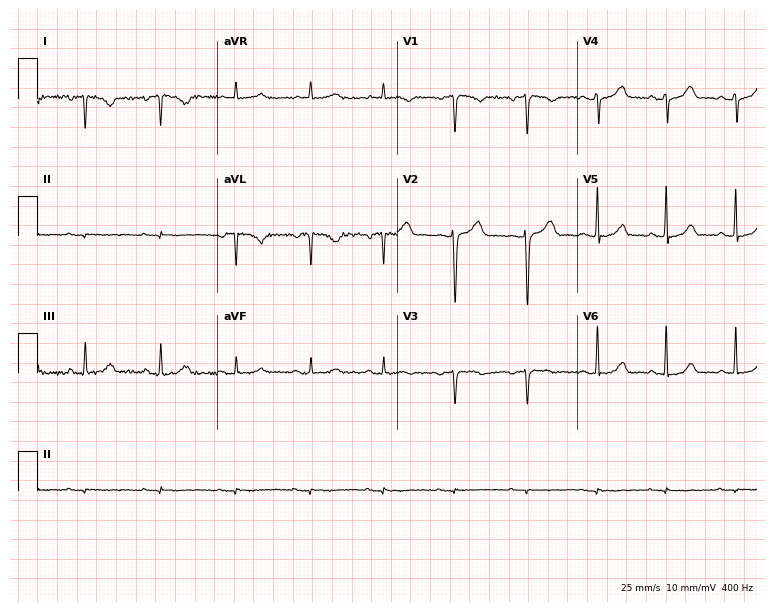
Electrocardiogram (7.3-second recording at 400 Hz), a 52-year-old female. Of the six screened findings (first-degree AV block, right bundle branch block, left bundle branch block, sinus bradycardia, atrial fibrillation, sinus tachycardia), none is recorded.